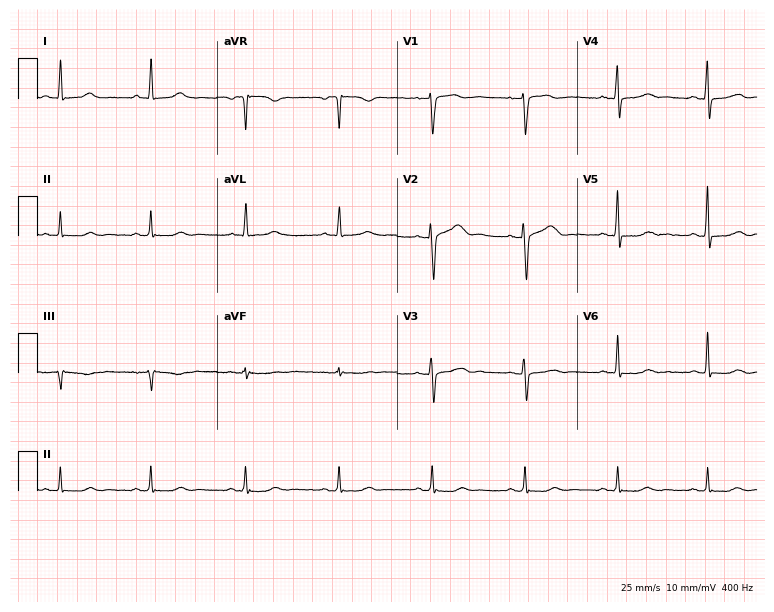
12-lead ECG from a 48-year-old woman (7.3-second recording at 400 Hz). No first-degree AV block, right bundle branch block, left bundle branch block, sinus bradycardia, atrial fibrillation or sinus tachycardia recorded for this tracing. Other findings, if any, are not listed.